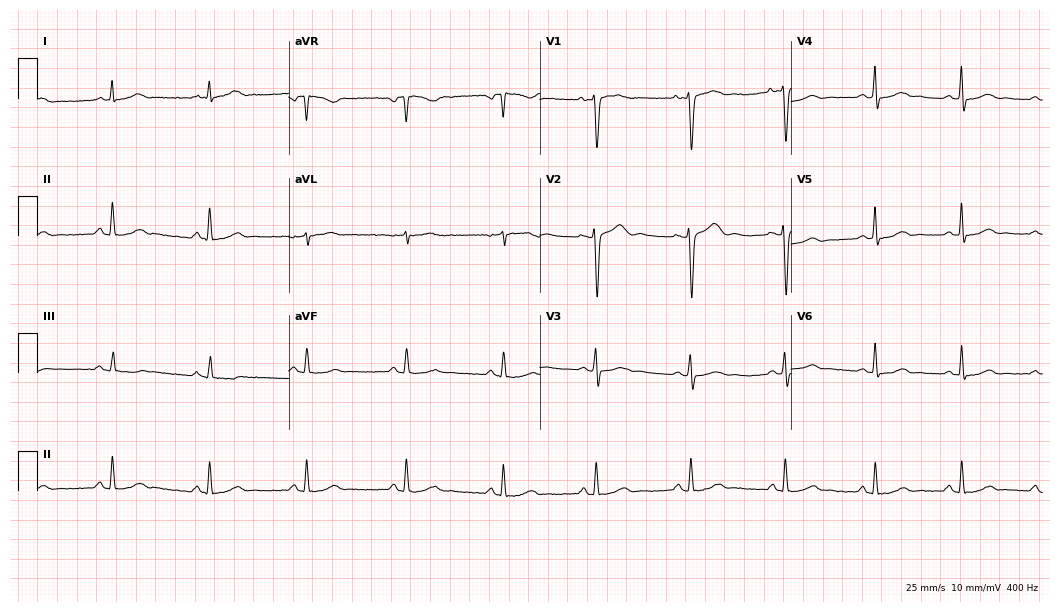
Electrocardiogram (10.2-second recording at 400 Hz), a female, 24 years old. Overall reading on record: normal ECG.